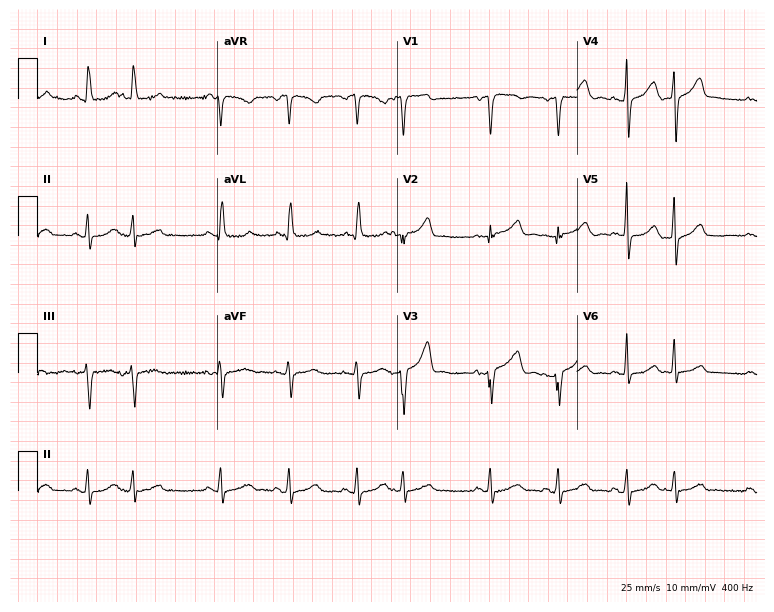
12-lead ECG (7.3-second recording at 400 Hz) from a 67-year-old male. Labelled as a normal ECG.